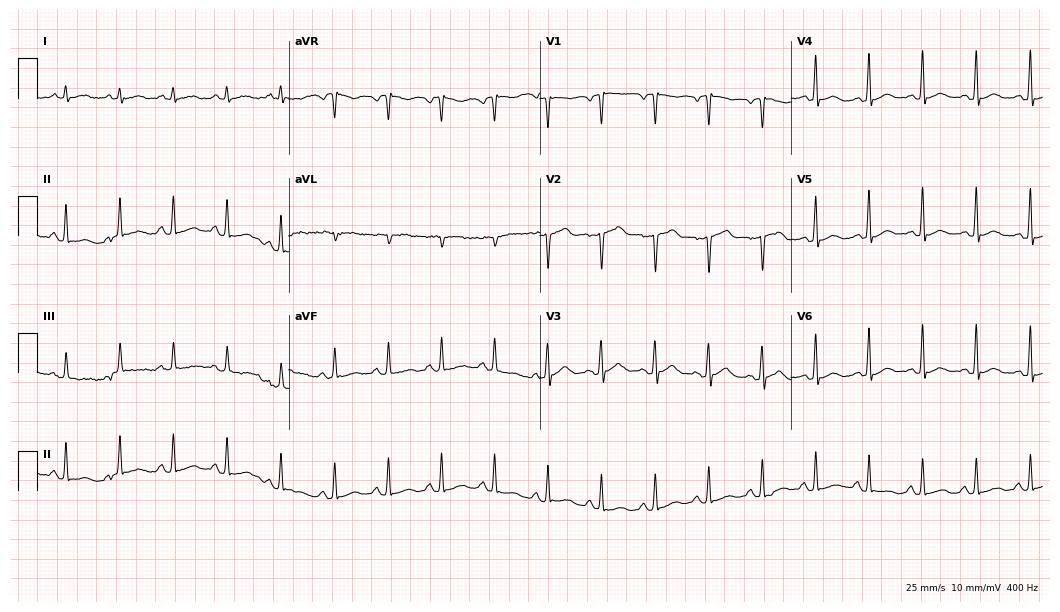
12-lead ECG from a male, 28 years old. Findings include sinus tachycardia (a sinus rate of 100 beats per minute or more).